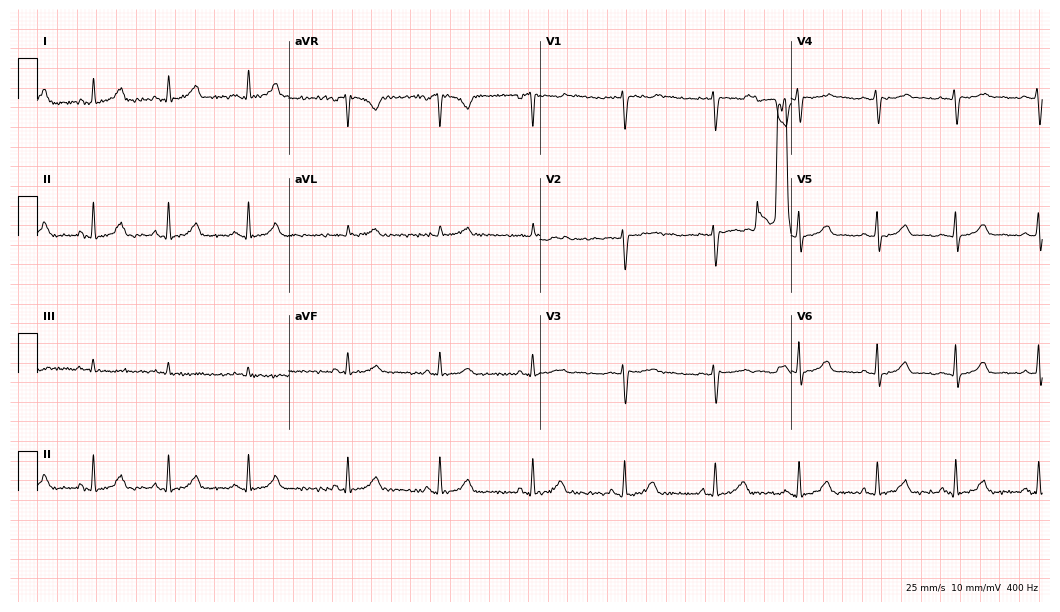
12-lead ECG (10.2-second recording at 400 Hz) from a female, 35 years old. Screened for six findings — first-degree AV block, right bundle branch block, left bundle branch block, sinus bradycardia, atrial fibrillation, sinus tachycardia — none is recorded.